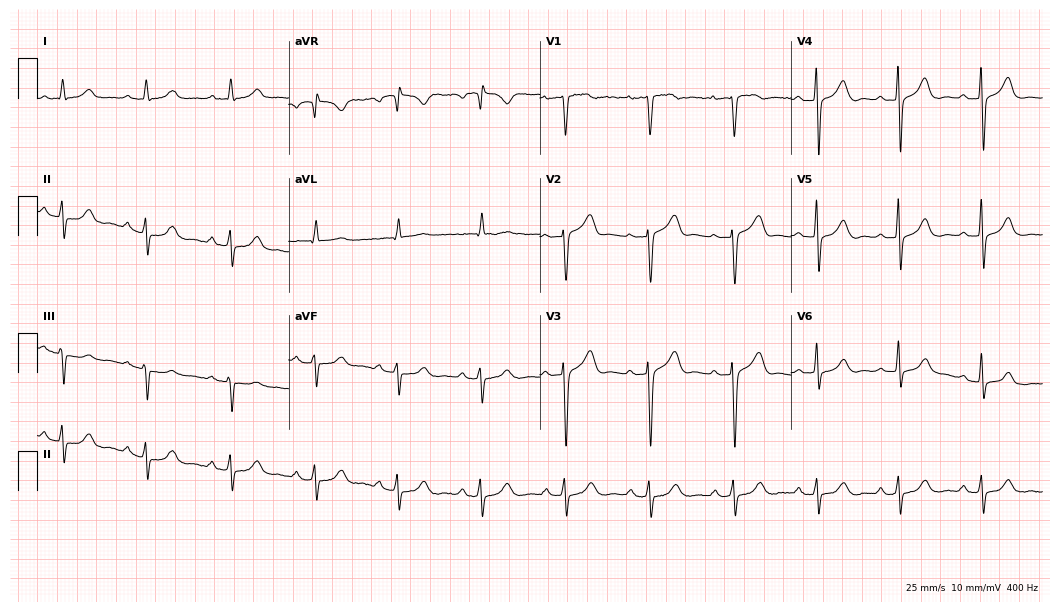
12-lead ECG from a 63-year-old woman. No first-degree AV block, right bundle branch block, left bundle branch block, sinus bradycardia, atrial fibrillation or sinus tachycardia recorded for this tracing.